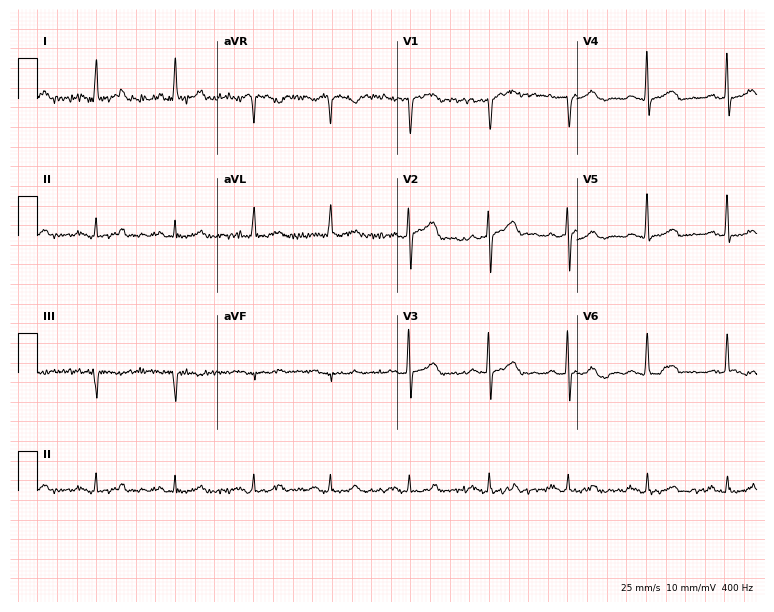
Electrocardiogram (7.3-second recording at 400 Hz), a man, 65 years old. Of the six screened findings (first-degree AV block, right bundle branch block, left bundle branch block, sinus bradycardia, atrial fibrillation, sinus tachycardia), none is recorded. Only these six findings were labelled.